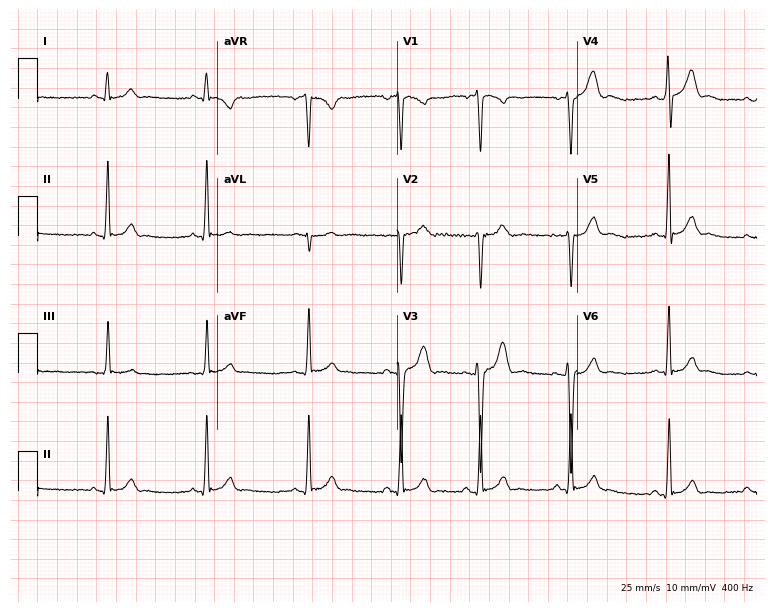
12-lead ECG from an 18-year-old male patient. Recorded interpretation: within normal limits.